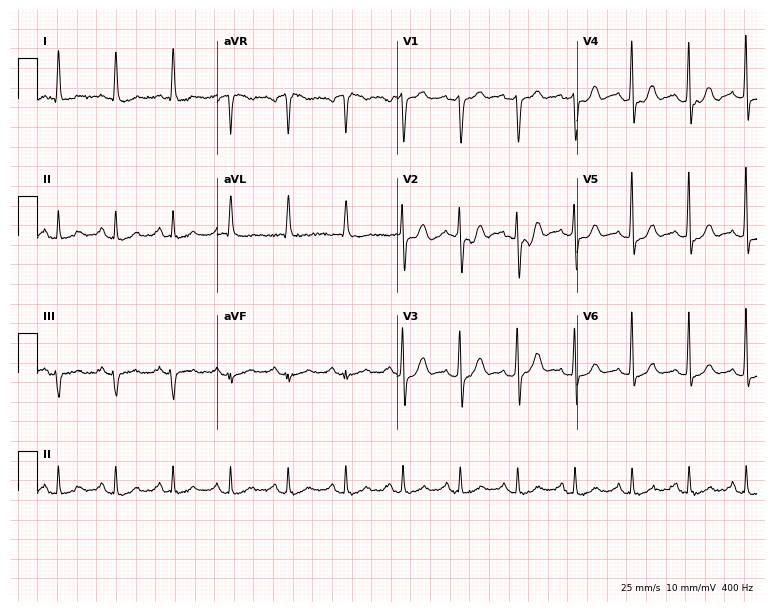
12-lead ECG from a male patient, 83 years old. Shows sinus tachycardia (a sinus rate of 100 beats per minute or more).